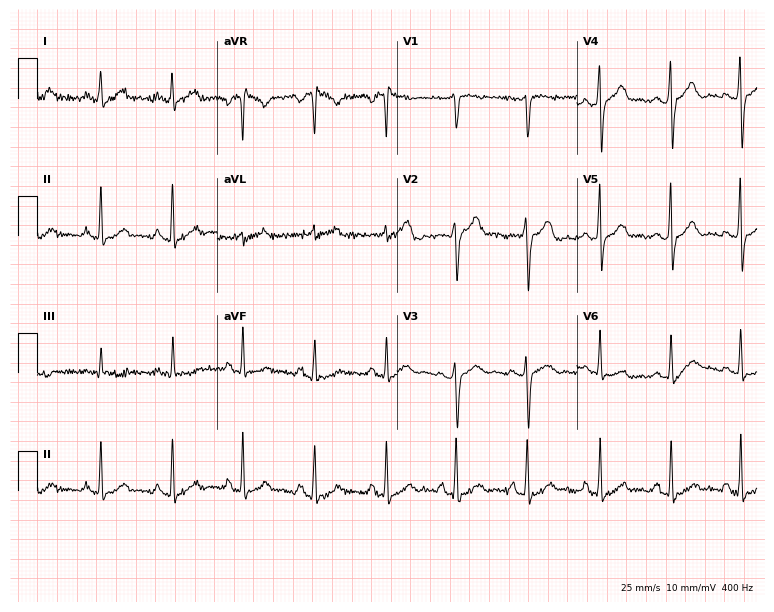
12-lead ECG from a female patient, 40 years old (7.3-second recording at 400 Hz). Recorded interpretation: within normal limits.